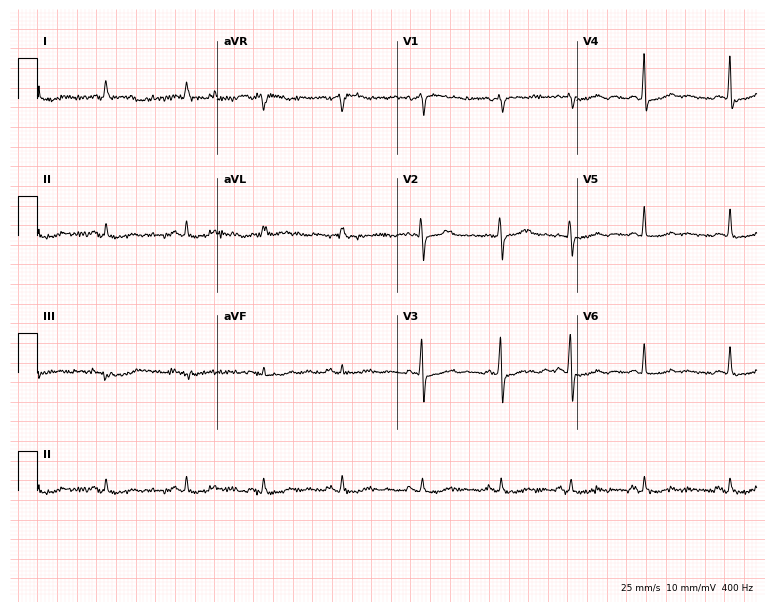
12-lead ECG from a 68-year-old female. No first-degree AV block, right bundle branch block (RBBB), left bundle branch block (LBBB), sinus bradycardia, atrial fibrillation (AF) or sinus tachycardia recorded for this tracing. Other findings, if any, are not listed.